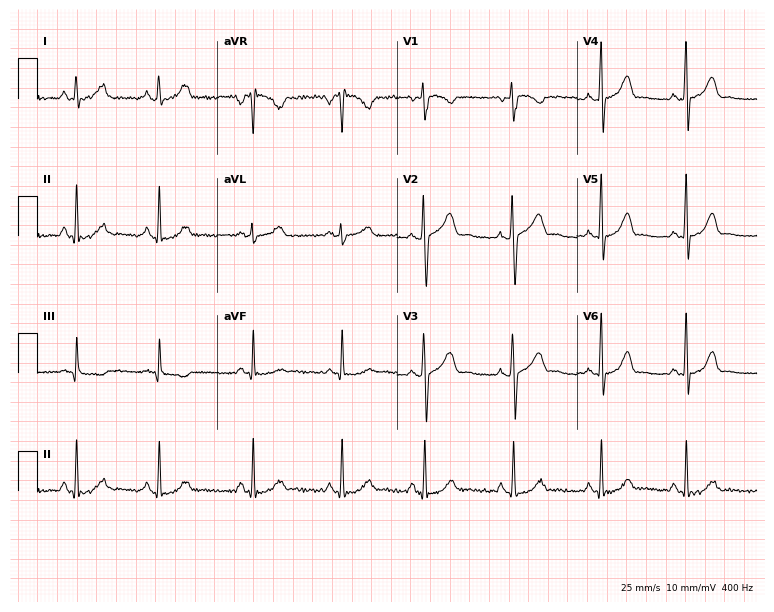
ECG (7.3-second recording at 400 Hz) — a female, 30 years old. Screened for six findings — first-degree AV block, right bundle branch block, left bundle branch block, sinus bradycardia, atrial fibrillation, sinus tachycardia — none is recorded.